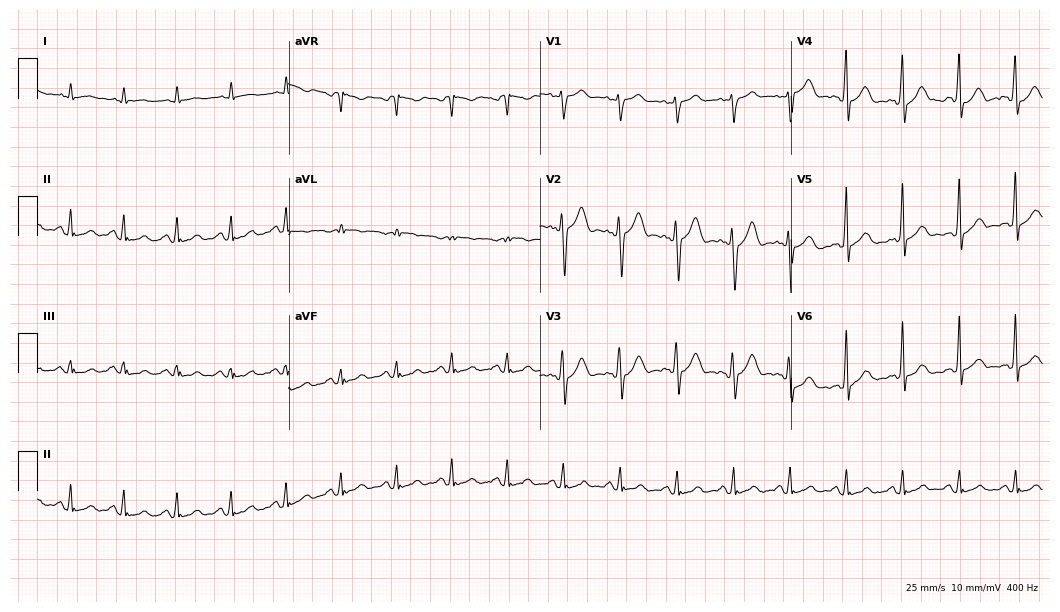
12-lead ECG from a male patient, 44 years old (10.2-second recording at 400 Hz). Shows sinus tachycardia (a sinus rate of 100 beats per minute or more).